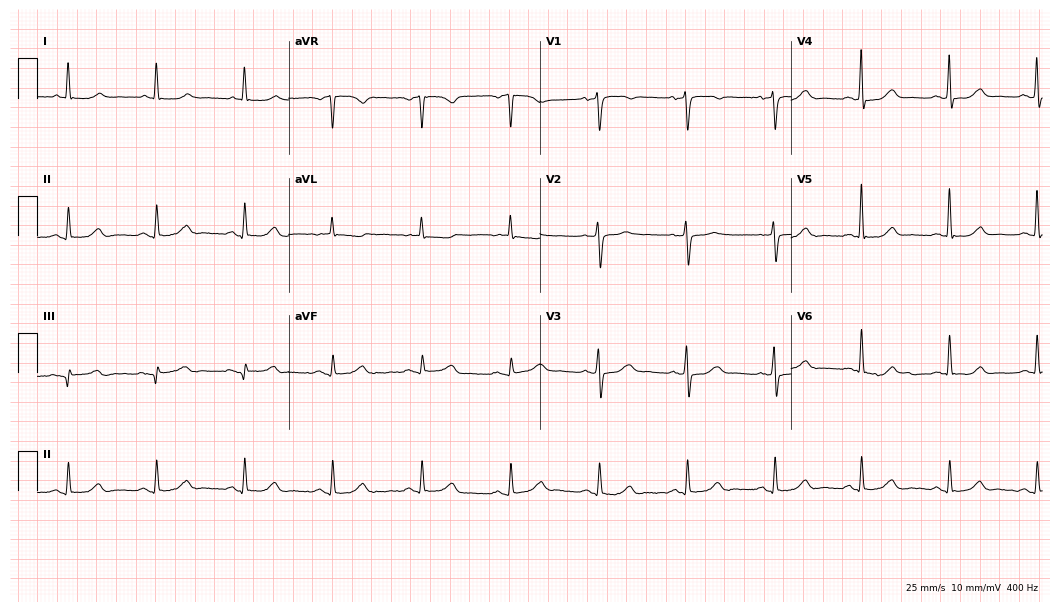
Standard 12-lead ECG recorded from a female, 73 years old. Read as a normal ECG.